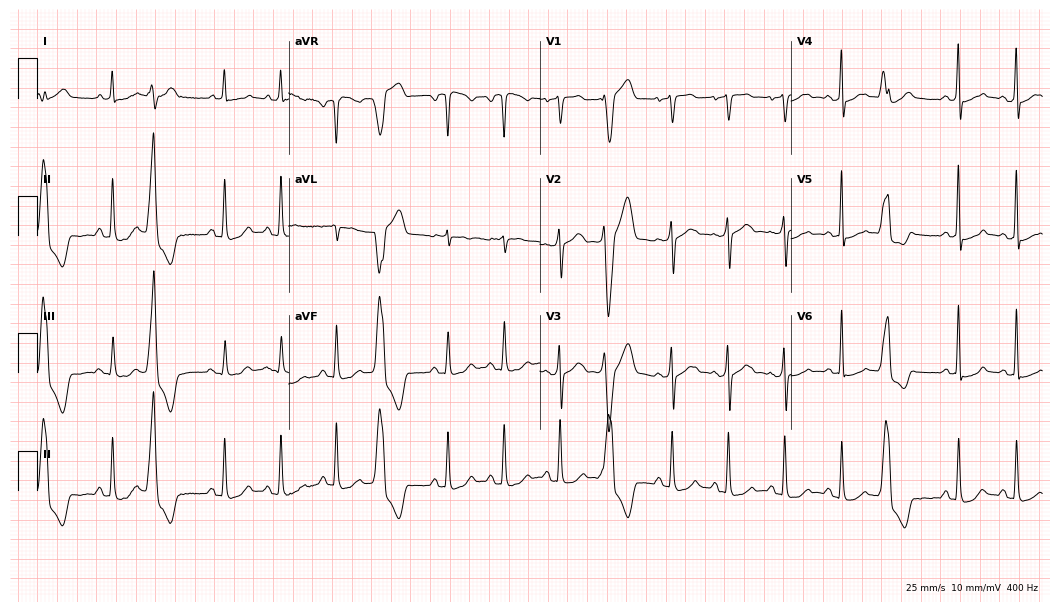
Electrocardiogram, a woman, 58 years old. Interpretation includes sinus tachycardia (a sinus rate of 100 beats per minute or more).